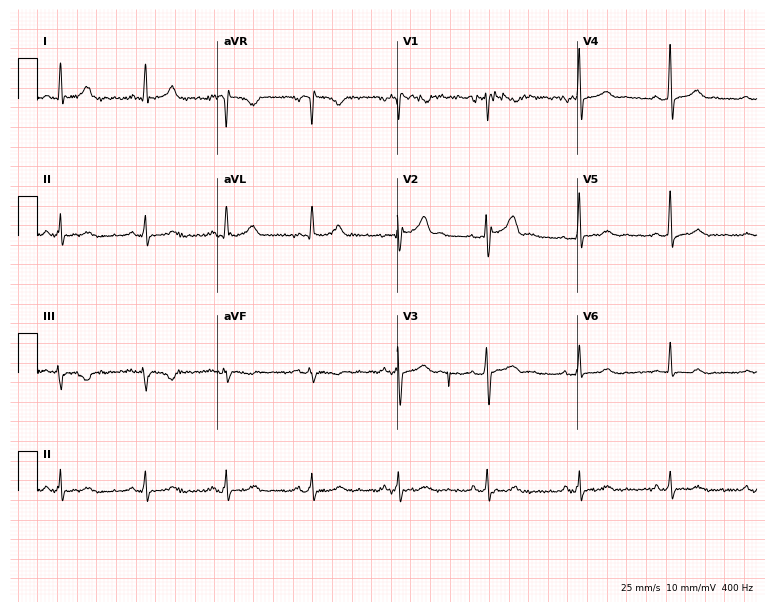
Standard 12-lead ECG recorded from a 48-year-old male. None of these six findings is recorded: first-degree AV block, right bundle branch block (RBBB), left bundle branch block (LBBB), sinus bradycardia, atrial fibrillation (AF), sinus tachycardia.